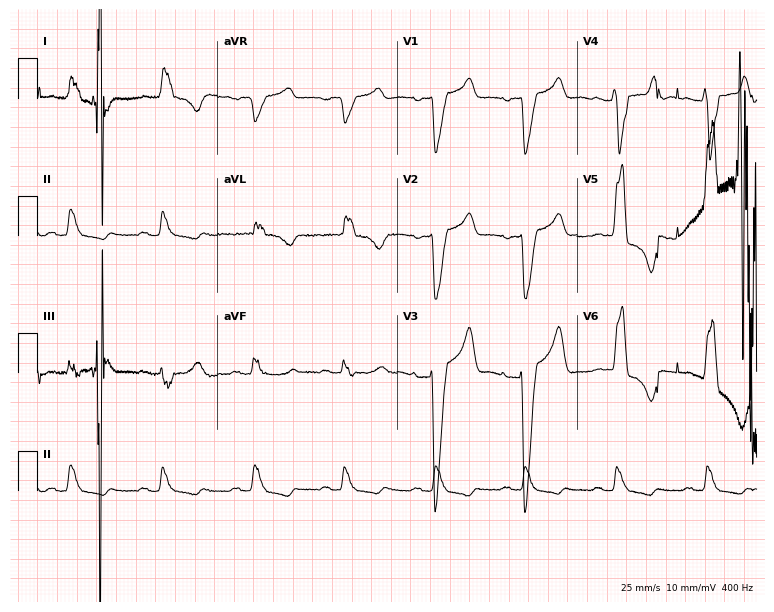
Electrocardiogram, a 55-year-old female. Interpretation includes left bundle branch block.